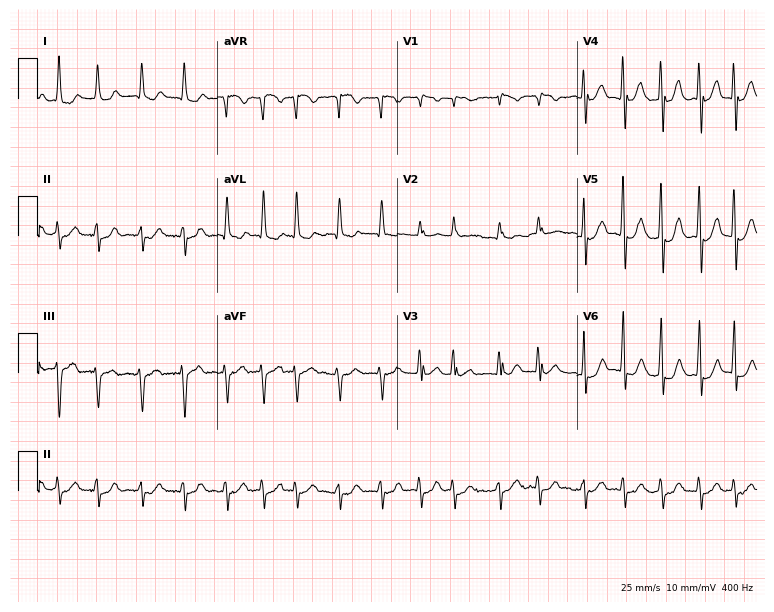
Electrocardiogram, a male patient, 77 years old. Interpretation includes atrial fibrillation (AF).